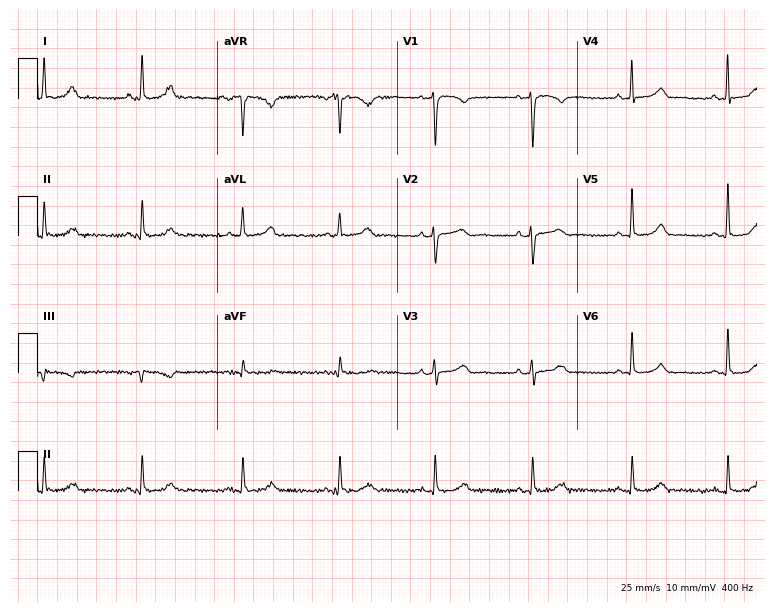
Standard 12-lead ECG recorded from a 49-year-old woman (7.3-second recording at 400 Hz). Read as a normal ECG.